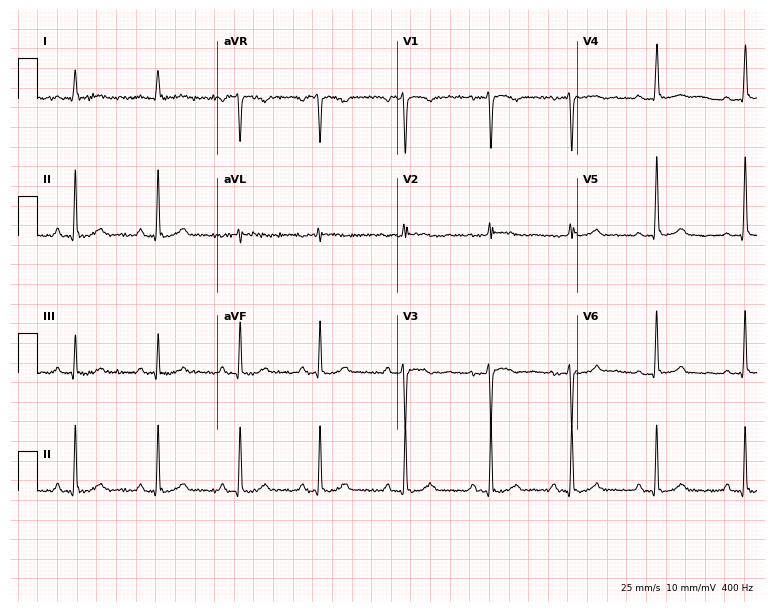
12-lead ECG from a 39-year-old female. Labelled as a normal ECG.